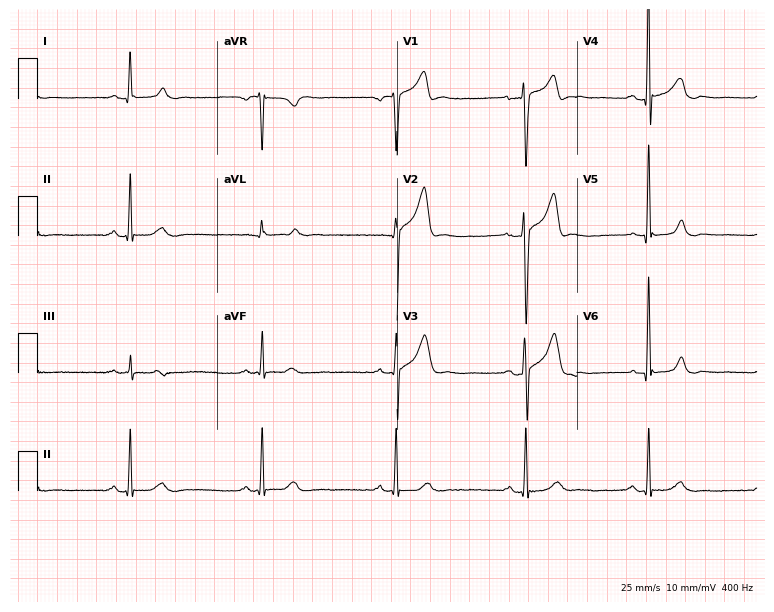
12-lead ECG from a 61-year-old man. Shows sinus bradycardia (a sinus rate of 50 beats per minute or less).